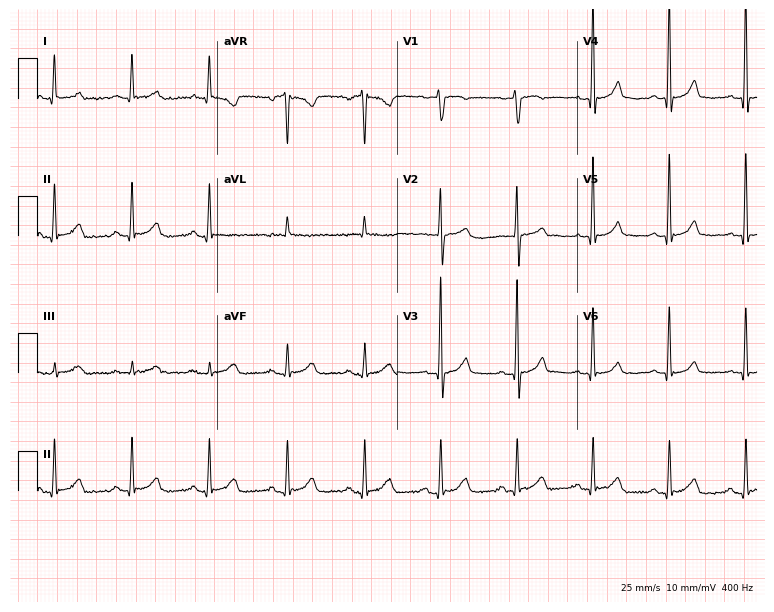
ECG — a 75-year-old woman. Labelled as a normal ECG.